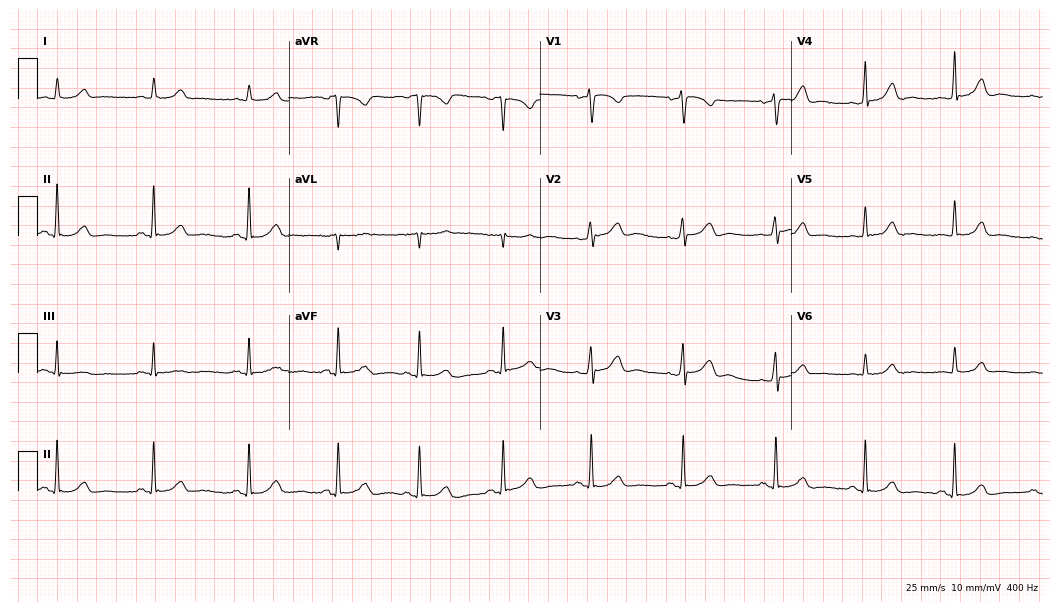
12-lead ECG from a 59-year-old female patient. No first-degree AV block, right bundle branch block (RBBB), left bundle branch block (LBBB), sinus bradycardia, atrial fibrillation (AF) or sinus tachycardia recorded for this tracing. Only these six findings were labelled.